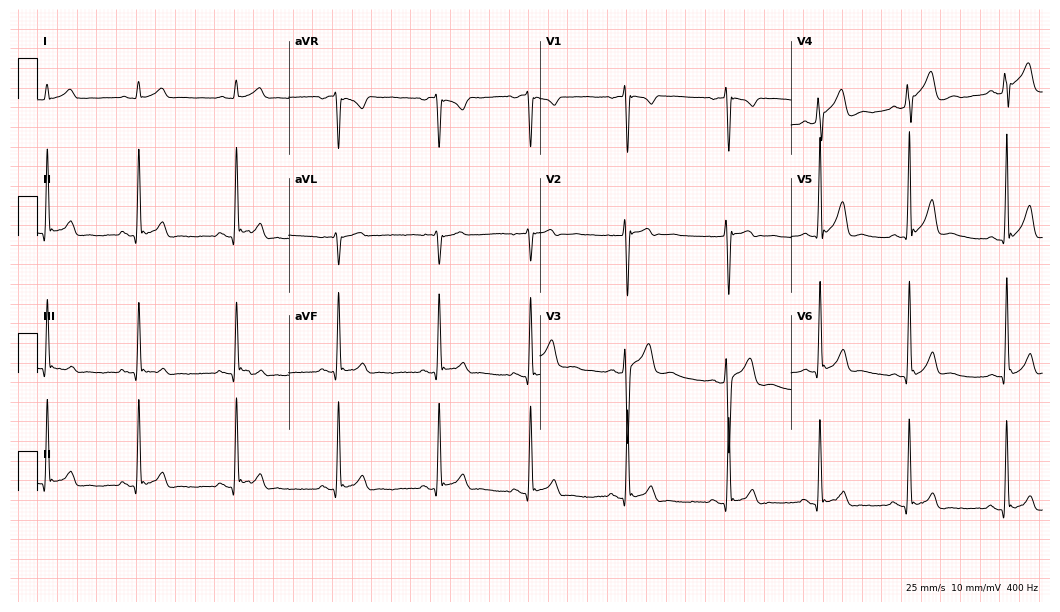
12-lead ECG from a man, 20 years old. Screened for six findings — first-degree AV block, right bundle branch block, left bundle branch block, sinus bradycardia, atrial fibrillation, sinus tachycardia — none is recorded. Findings outside these six are not listed.